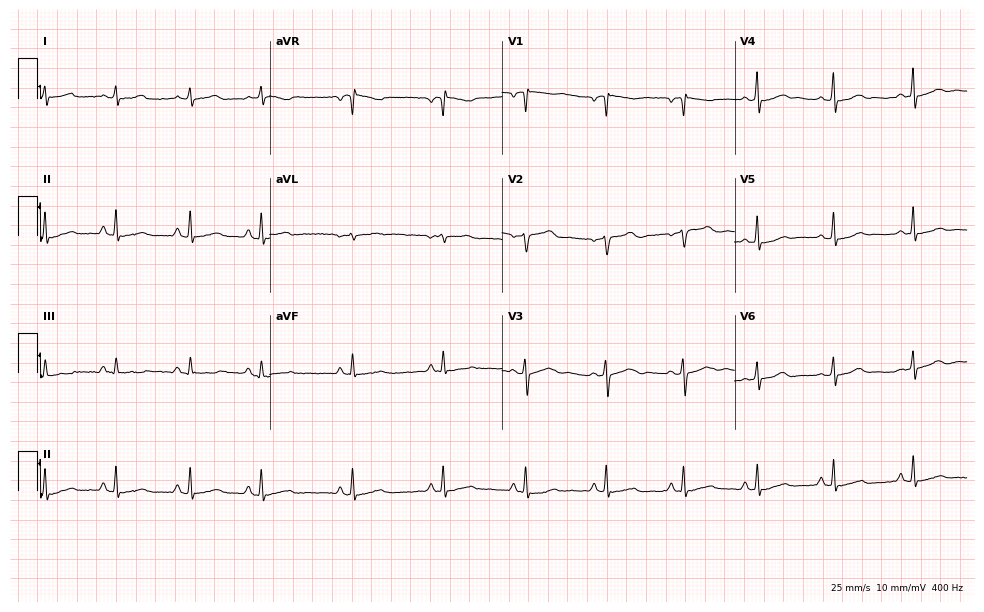
Electrocardiogram (9.5-second recording at 400 Hz), a 28-year-old woman. Of the six screened findings (first-degree AV block, right bundle branch block, left bundle branch block, sinus bradycardia, atrial fibrillation, sinus tachycardia), none is recorded. Only these six findings were labelled.